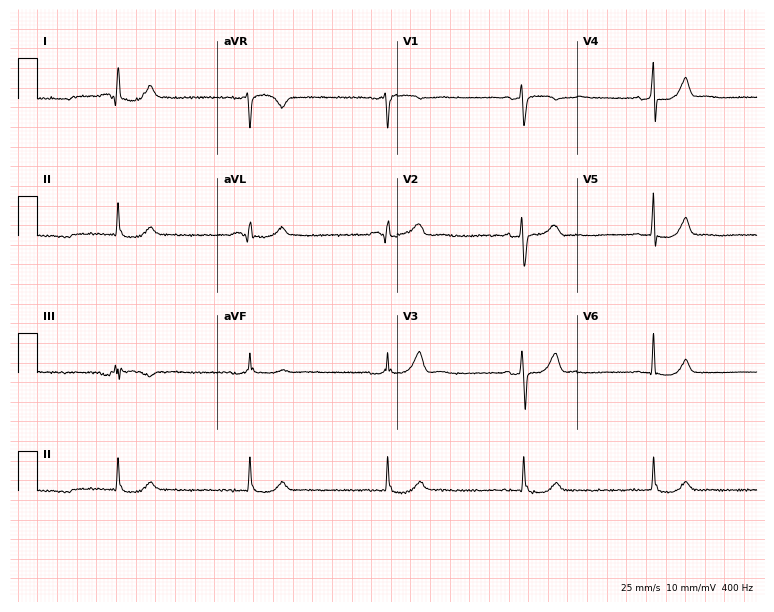
Standard 12-lead ECG recorded from a 66-year-old woman. The tracing shows sinus bradycardia (a sinus rate of 50 beats per minute or less).